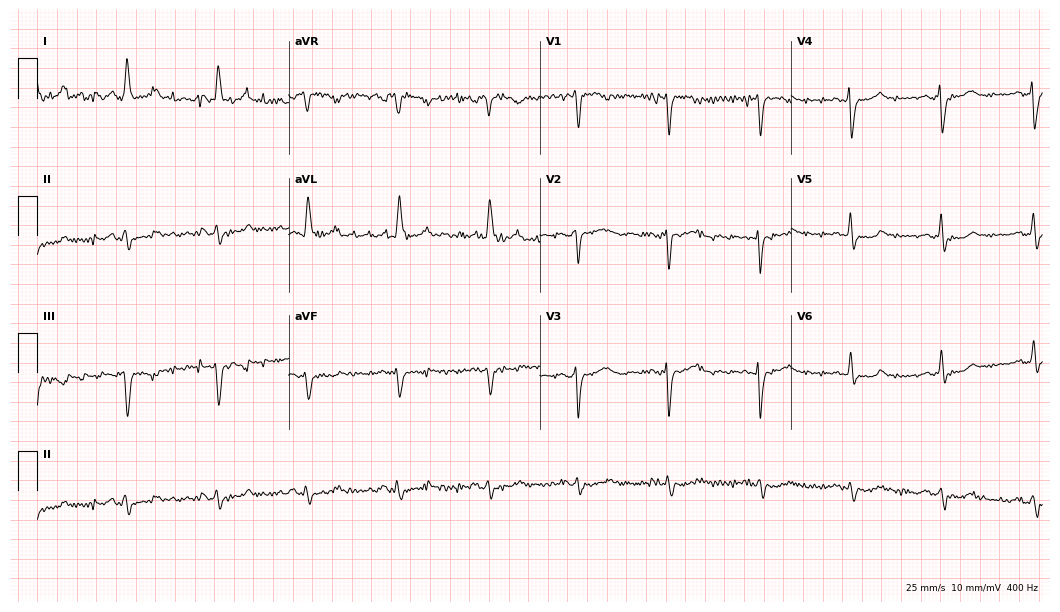
12-lead ECG (10.2-second recording at 400 Hz) from a woman, 77 years old. Screened for six findings — first-degree AV block, right bundle branch block (RBBB), left bundle branch block (LBBB), sinus bradycardia, atrial fibrillation (AF), sinus tachycardia — none is recorded.